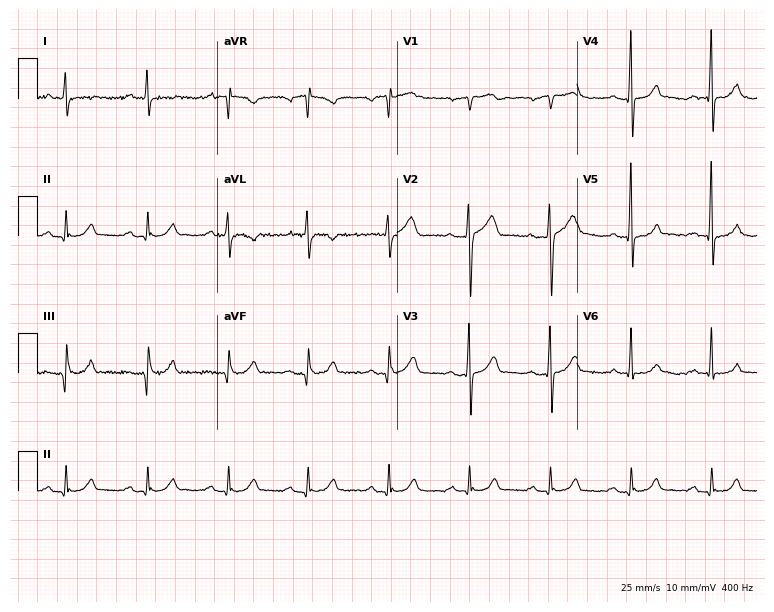
Standard 12-lead ECG recorded from a 58-year-old male patient (7.3-second recording at 400 Hz). None of these six findings is recorded: first-degree AV block, right bundle branch block, left bundle branch block, sinus bradycardia, atrial fibrillation, sinus tachycardia. Findings outside these six are not listed.